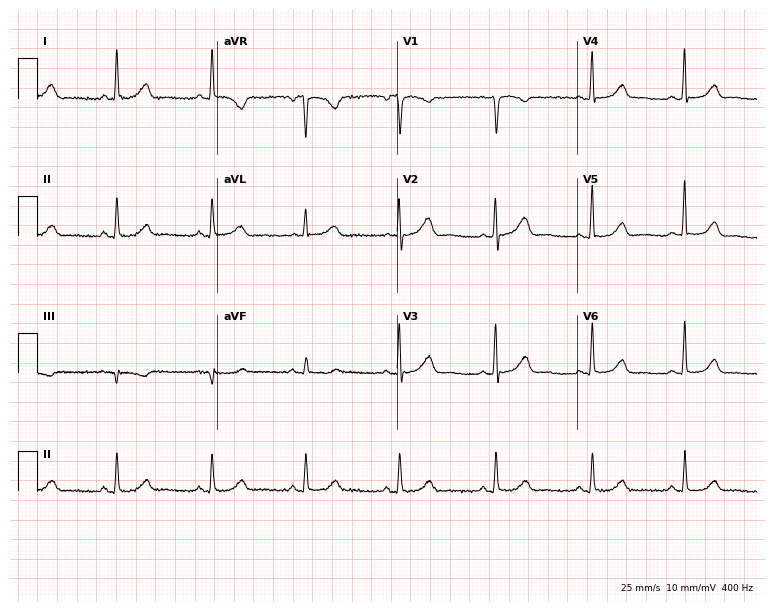
Standard 12-lead ECG recorded from a 54-year-old female patient. None of these six findings is recorded: first-degree AV block, right bundle branch block, left bundle branch block, sinus bradycardia, atrial fibrillation, sinus tachycardia.